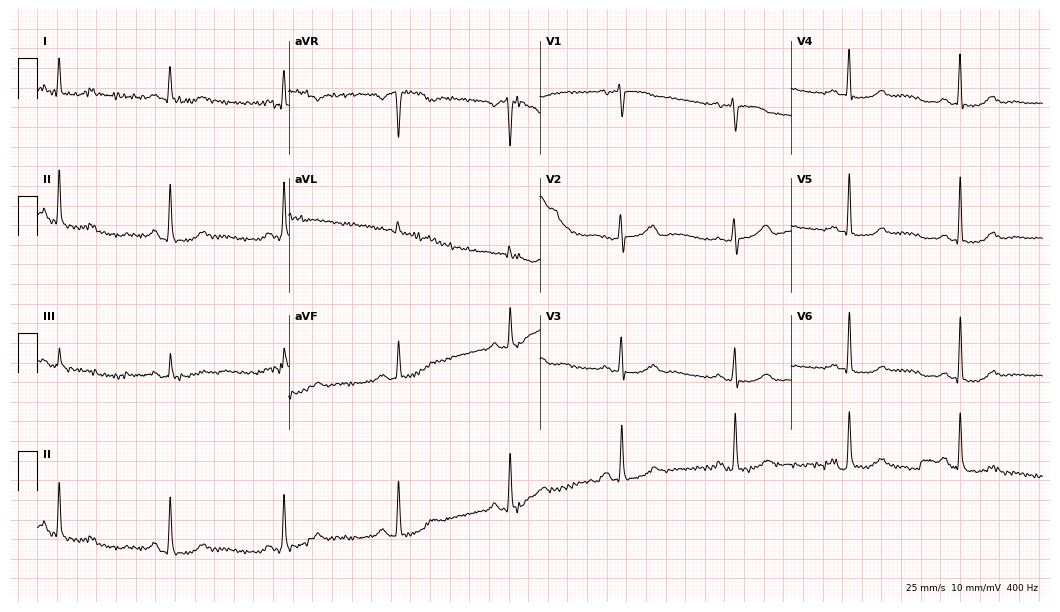
Resting 12-lead electrocardiogram (10.2-second recording at 400 Hz). Patient: a female, 76 years old. None of these six findings is recorded: first-degree AV block, right bundle branch block, left bundle branch block, sinus bradycardia, atrial fibrillation, sinus tachycardia.